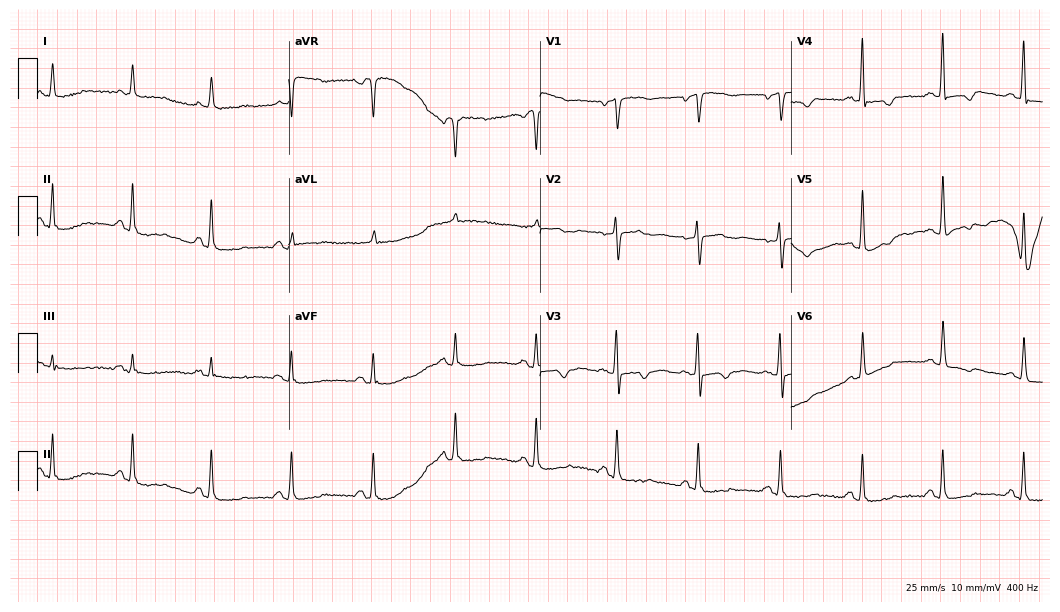
12-lead ECG from a 76-year-old woman. Recorded interpretation: within normal limits.